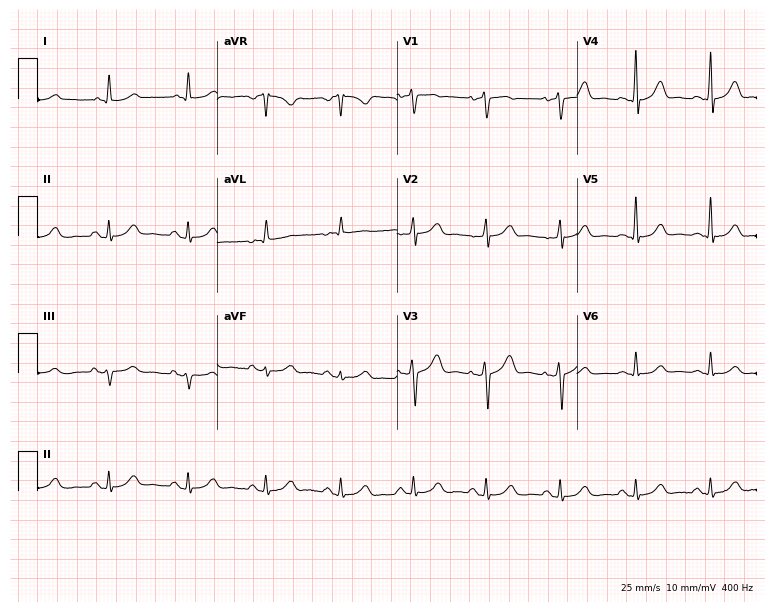
Electrocardiogram (7.3-second recording at 400 Hz), a 75-year-old woman. Of the six screened findings (first-degree AV block, right bundle branch block, left bundle branch block, sinus bradycardia, atrial fibrillation, sinus tachycardia), none is recorded. Only these six findings were labelled.